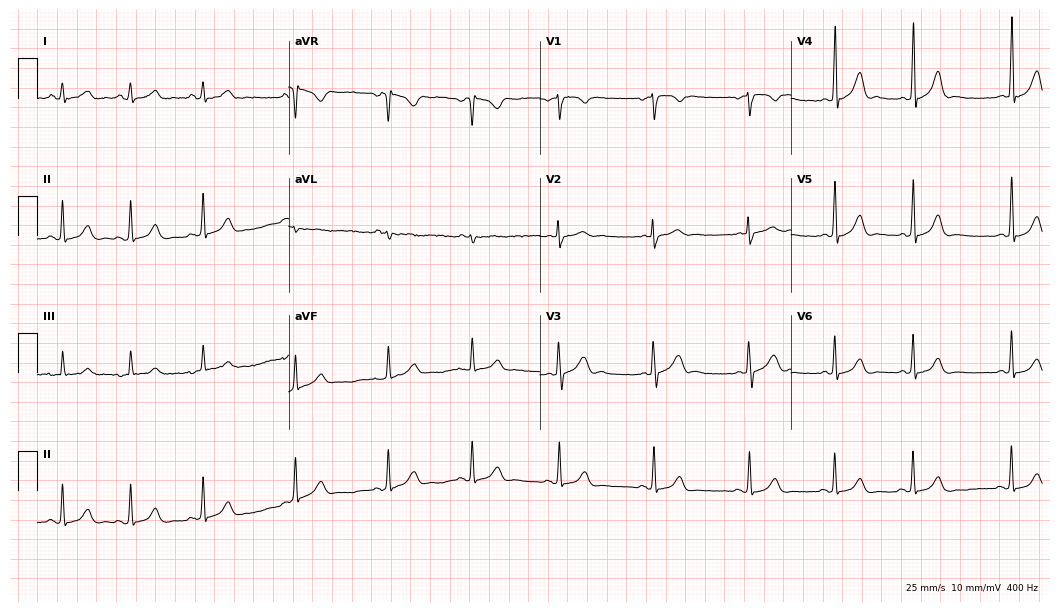
Resting 12-lead electrocardiogram. Patient: a 25-year-old female. Read as a normal ECG.